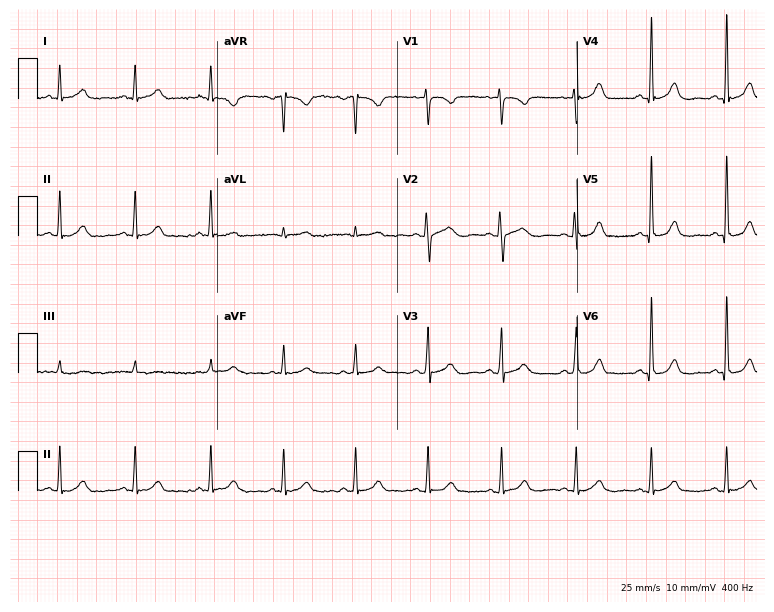
12-lead ECG (7.3-second recording at 400 Hz) from a 42-year-old female patient. Labelled as a normal ECG.